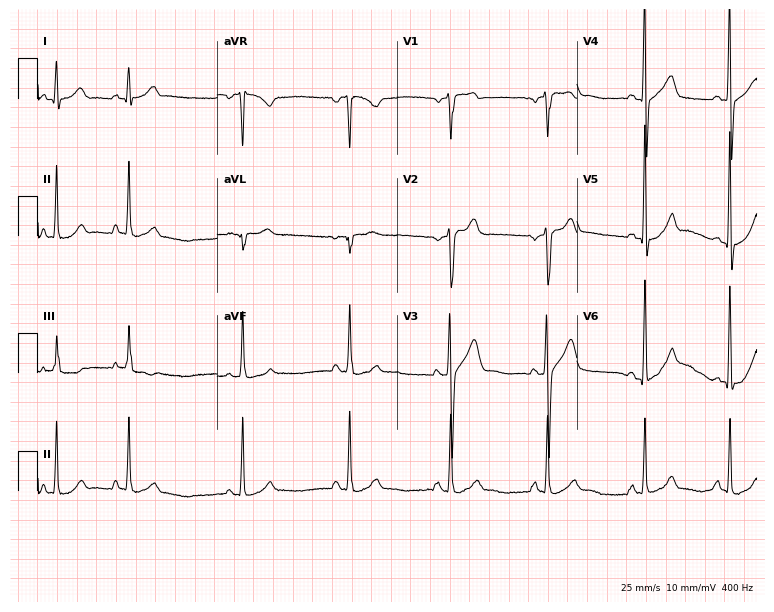
Standard 12-lead ECG recorded from a 44-year-old male (7.3-second recording at 400 Hz). Read as a normal ECG.